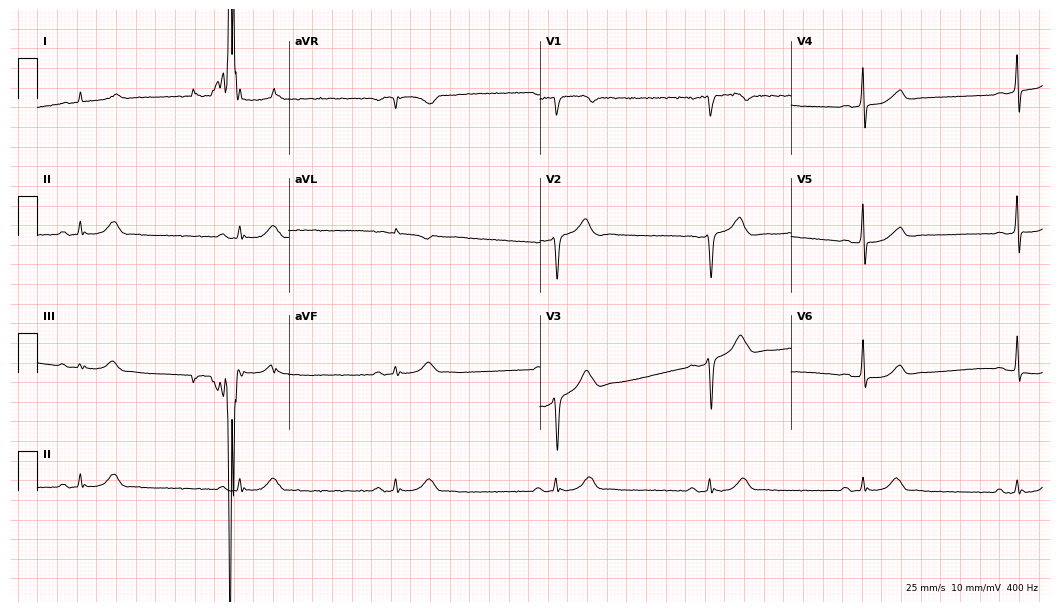
Resting 12-lead electrocardiogram. Patient: a 78-year-old man. None of these six findings is recorded: first-degree AV block, right bundle branch block, left bundle branch block, sinus bradycardia, atrial fibrillation, sinus tachycardia. Only these six findings were labelled.